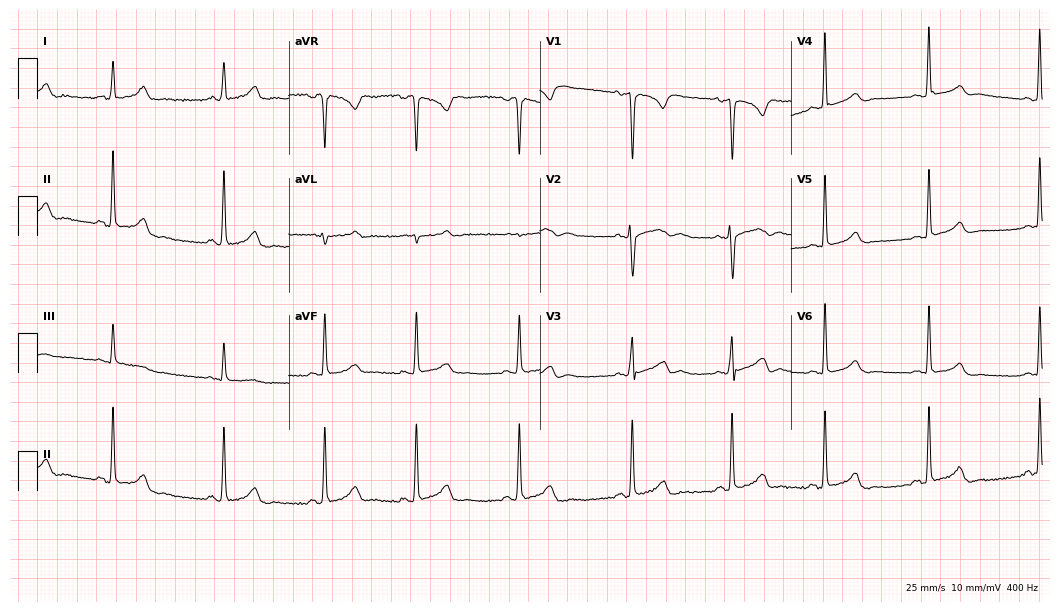
Resting 12-lead electrocardiogram. Patient: a 29-year-old woman. None of these six findings is recorded: first-degree AV block, right bundle branch block (RBBB), left bundle branch block (LBBB), sinus bradycardia, atrial fibrillation (AF), sinus tachycardia. Other findings, if any, are not listed.